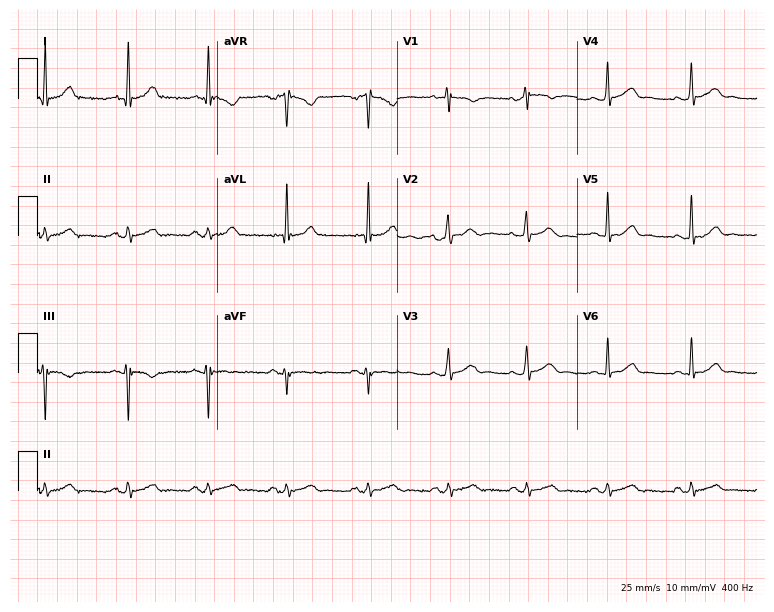
12-lead ECG from a 29-year-old male patient. Labelled as a normal ECG.